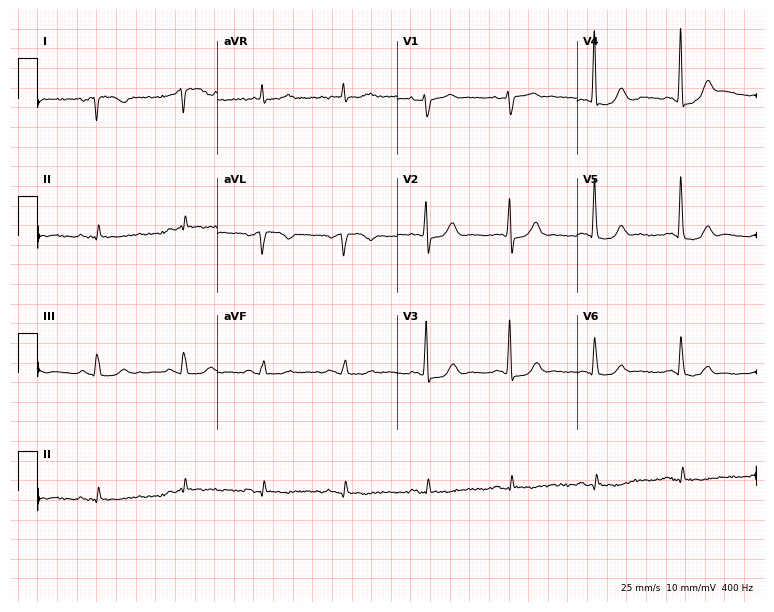
ECG — a 79-year-old man. Screened for six findings — first-degree AV block, right bundle branch block, left bundle branch block, sinus bradycardia, atrial fibrillation, sinus tachycardia — none is recorded.